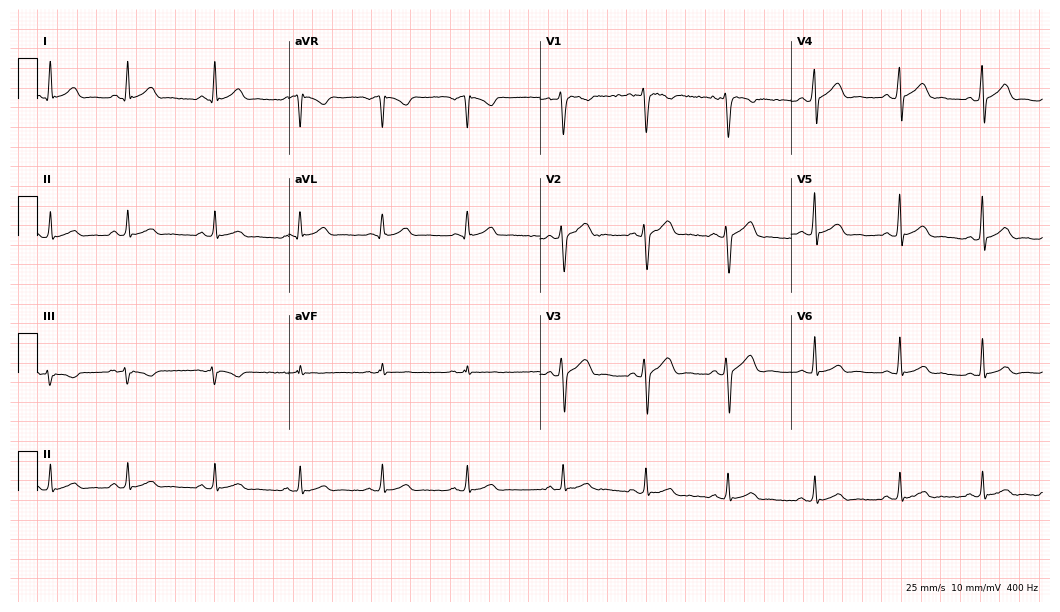
Standard 12-lead ECG recorded from a man, 28 years old (10.2-second recording at 400 Hz). Read as a normal ECG.